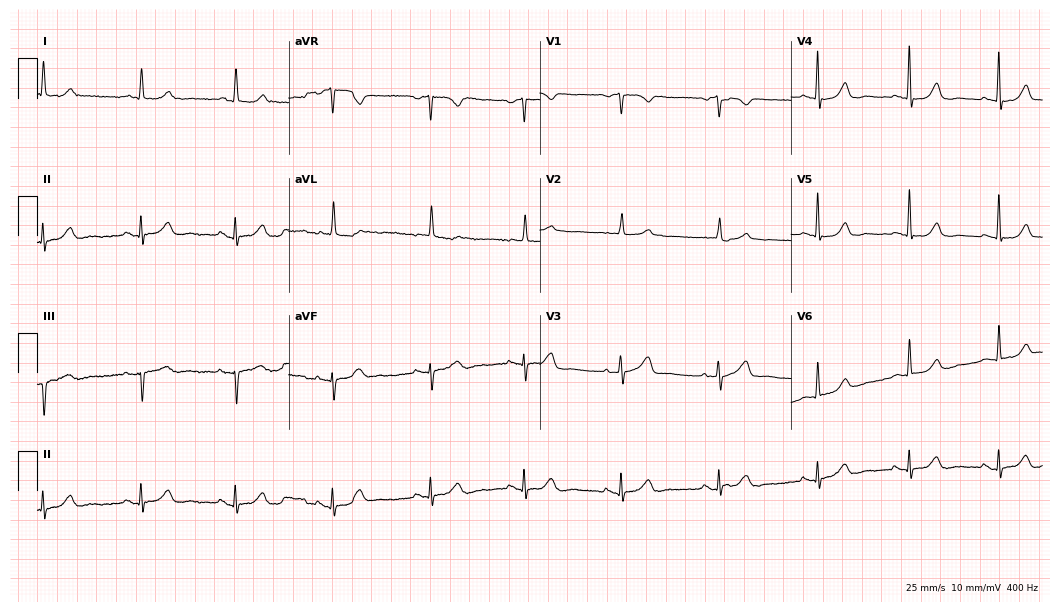
Electrocardiogram (10.2-second recording at 400 Hz), a woman, 83 years old. Overall reading on record: normal ECG.